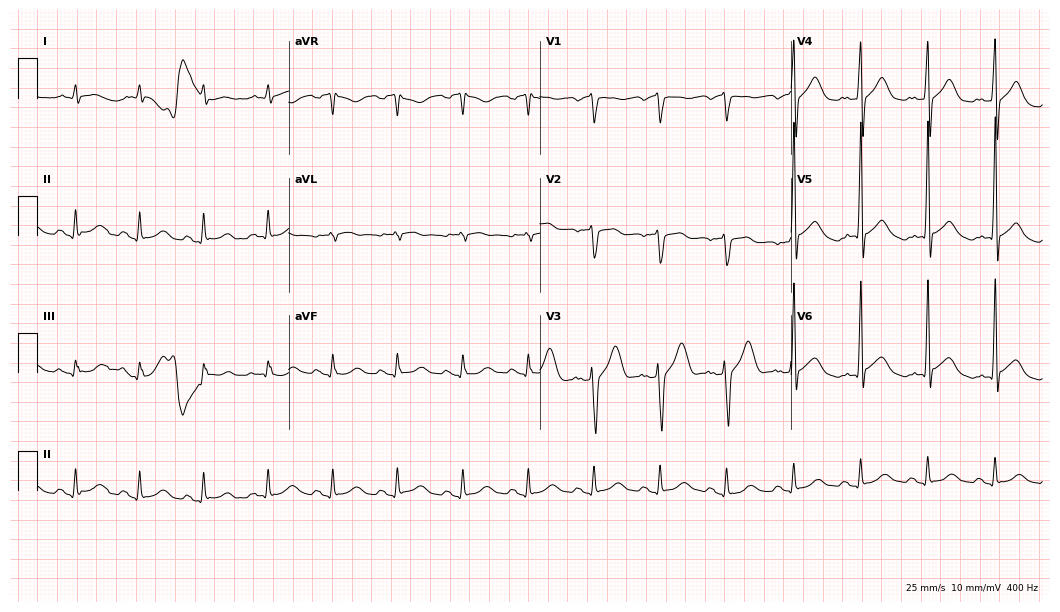
12-lead ECG from a male, 49 years old. Screened for six findings — first-degree AV block, right bundle branch block, left bundle branch block, sinus bradycardia, atrial fibrillation, sinus tachycardia — none is recorded.